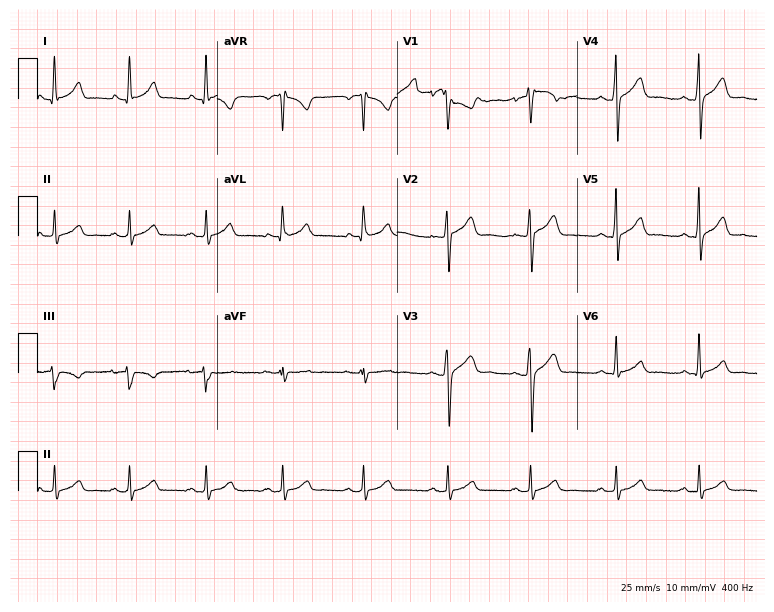
Electrocardiogram, a male patient, 28 years old. Overall reading on record: normal ECG.